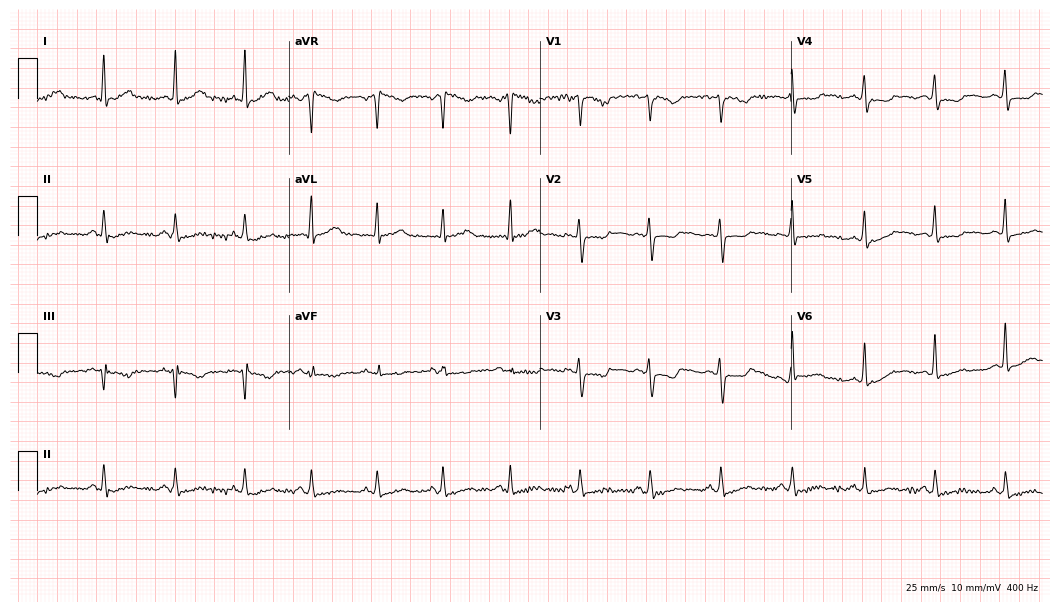
Electrocardiogram, a 32-year-old woman. Of the six screened findings (first-degree AV block, right bundle branch block (RBBB), left bundle branch block (LBBB), sinus bradycardia, atrial fibrillation (AF), sinus tachycardia), none is recorded. Only these six findings were labelled.